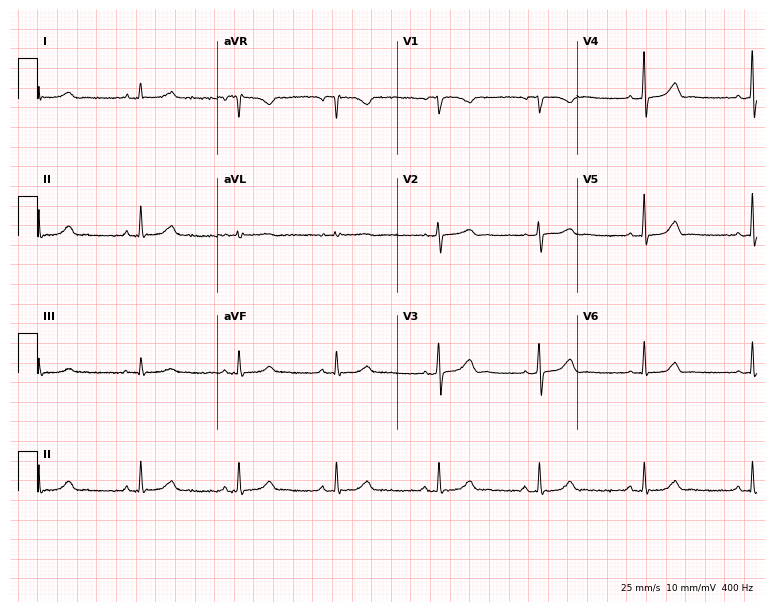
Standard 12-lead ECG recorded from a female, 34 years old. Read as a normal ECG.